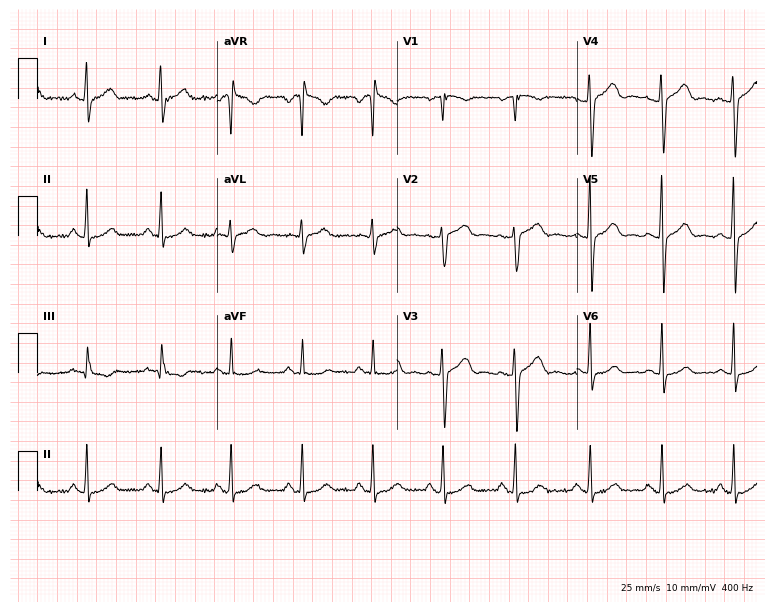
12-lead ECG from a 31-year-old female (7.3-second recording at 400 Hz). No first-degree AV block, right bundle branch block (RBBB), left bundle branch block (LBBB), sinus bradycardia, atrial fibrillation (AF) or sinus tachycardia recorded for this tracing. Other findings, if any, are not listed.